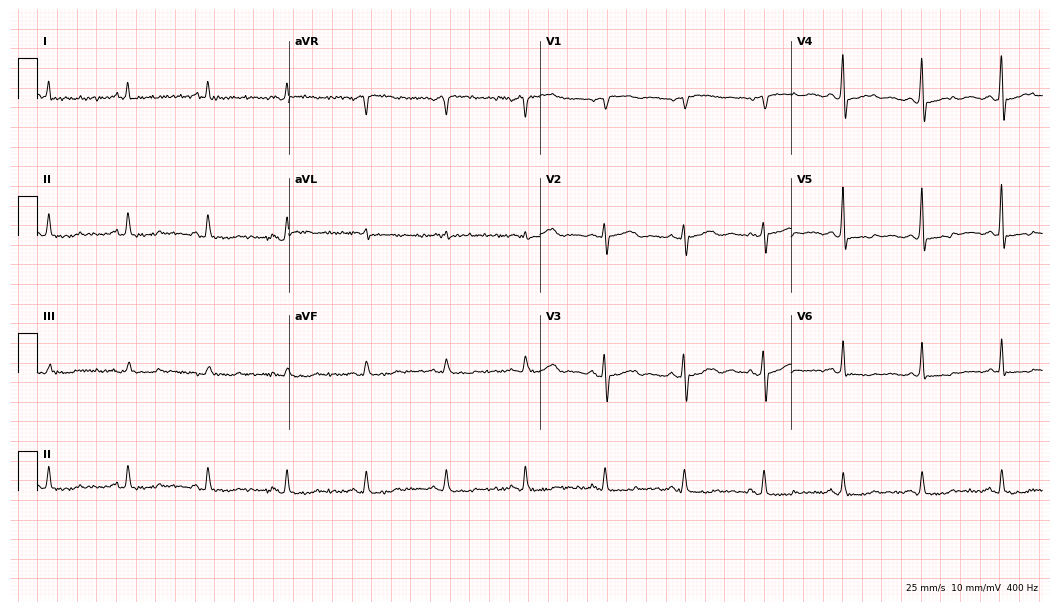
ECG (10.2-second recording at 400 Hz) — a man, 79 years old. Screened for six findings — first-degree AV block, right bundle branch block, left bundle branch block, sinus bradycardia, atrial fibrillation, sinus tachycardia — none is recorded. Only these six findings were labelled.